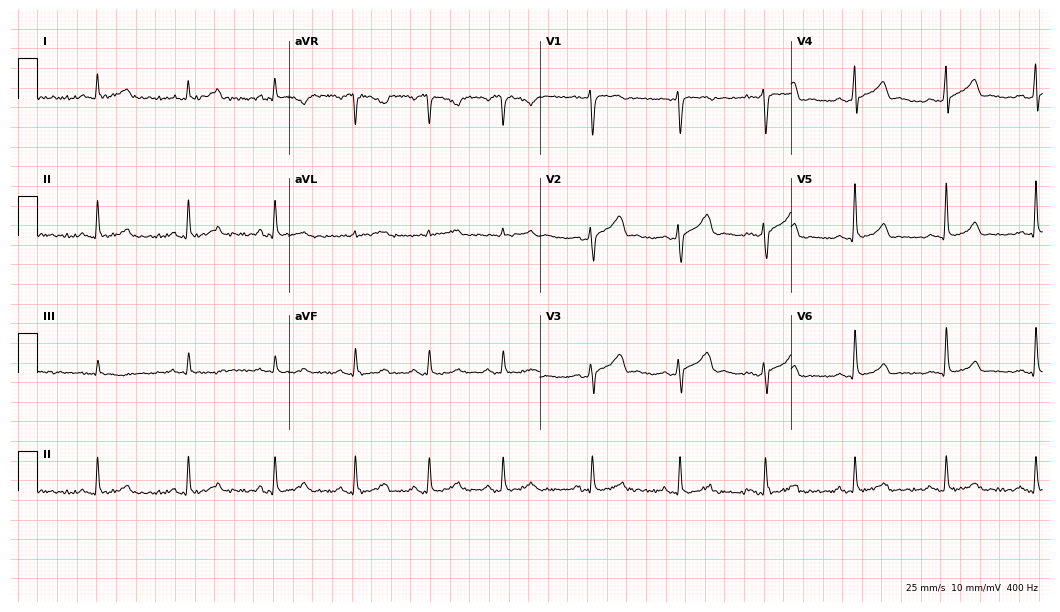
Electrocardiogram (10.2-second recording at 400 Hz), a man, 38 years old. Overall reading on record: normal ECG.